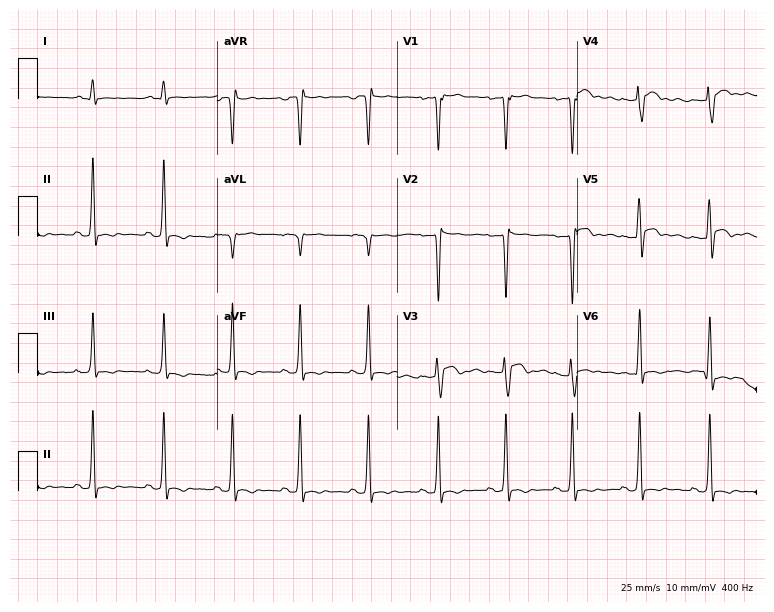
Standard 12-lead ECG recorded from a 21-year-old male patient (7.3-second recording at 400 Hz). None of these six findings is recorded: first-degree AV block, right bundle branch block, left bundle branch block, sinus bradycardia, atrial fibrillation, sinus tachycardia. Only these six findings were labelled.